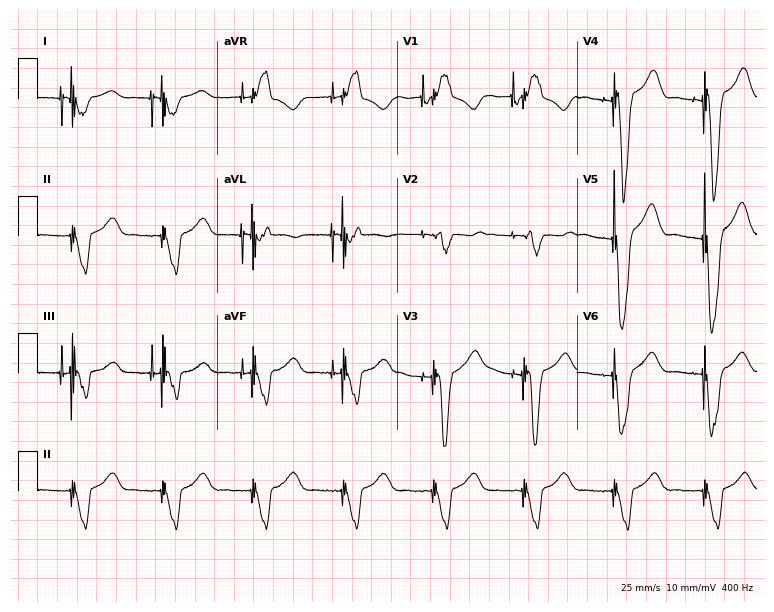
Standard 12-lead ECG recorded from a male, 25 years old. None of these six findings is recorded: first-degree AV block, right bundle branch block (RBBB), left bundle branch block (LBBB), sinus bradycardia, atrial fibrillation (AF), sinus tachycardia. Only these six findings were labelled.